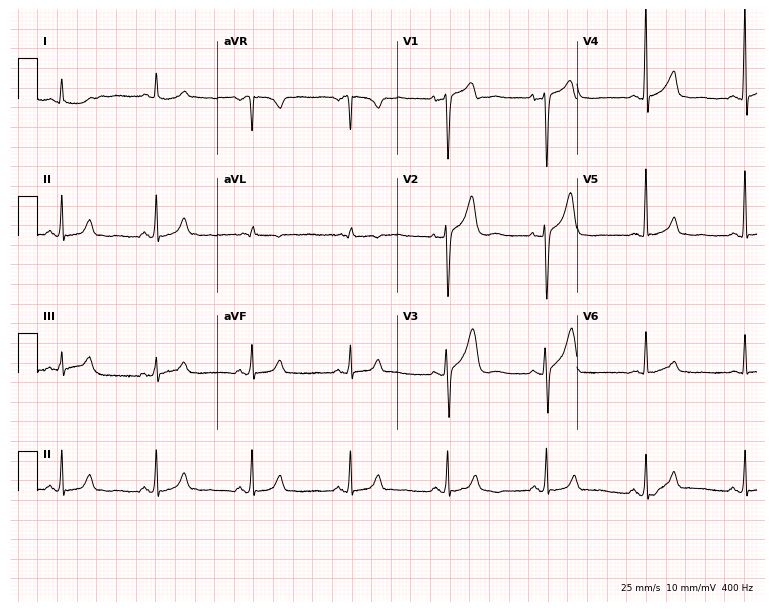
Electrocardiogram (7.3-second recording at 400 Hz), a man, 54 years old. Overall reading on record: normal ECG.